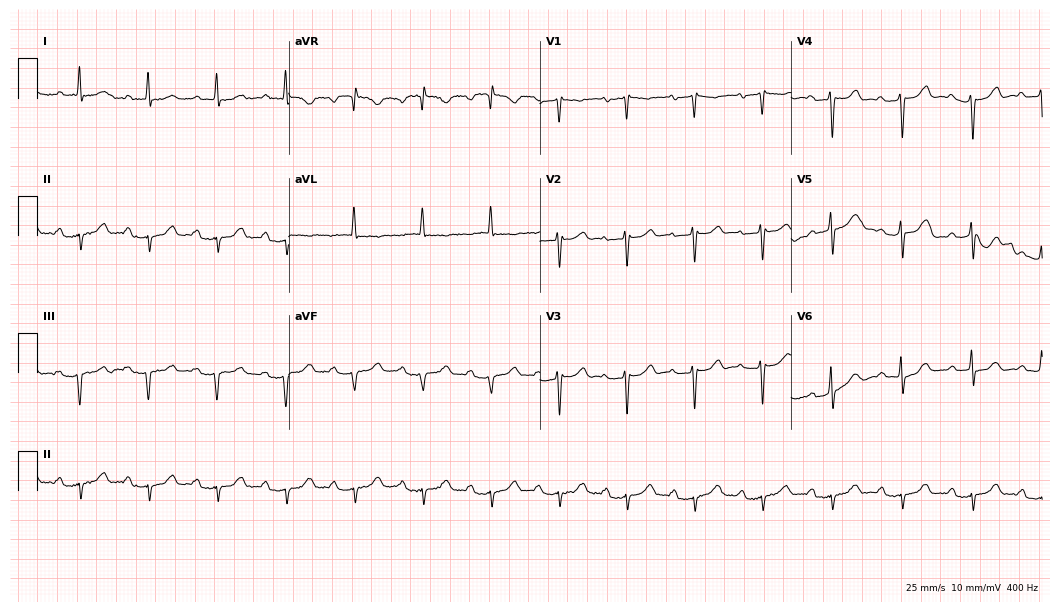
12-lead ECG from an 84-year-old female patient. Screened for six findings — first-degree AV block, right bundle branch block, left bundle branch block, sinus bradycardia, atrial fibrillation, sinus tachycardia — none is recorded.